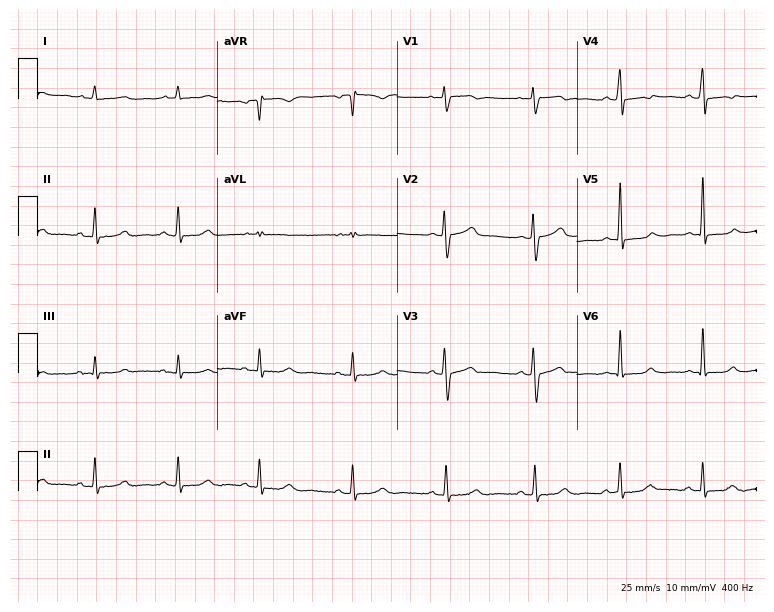
12-lead ECG from a female patient, 46 years old (7.3-second recording at 400 Hz). No first-degree AV block, right bundle branch block, left bundle branch block, sinus bradycardia, atrial fibrillation or sinus tachycardia recorded for this tracing. Findings outside these six are not listed.